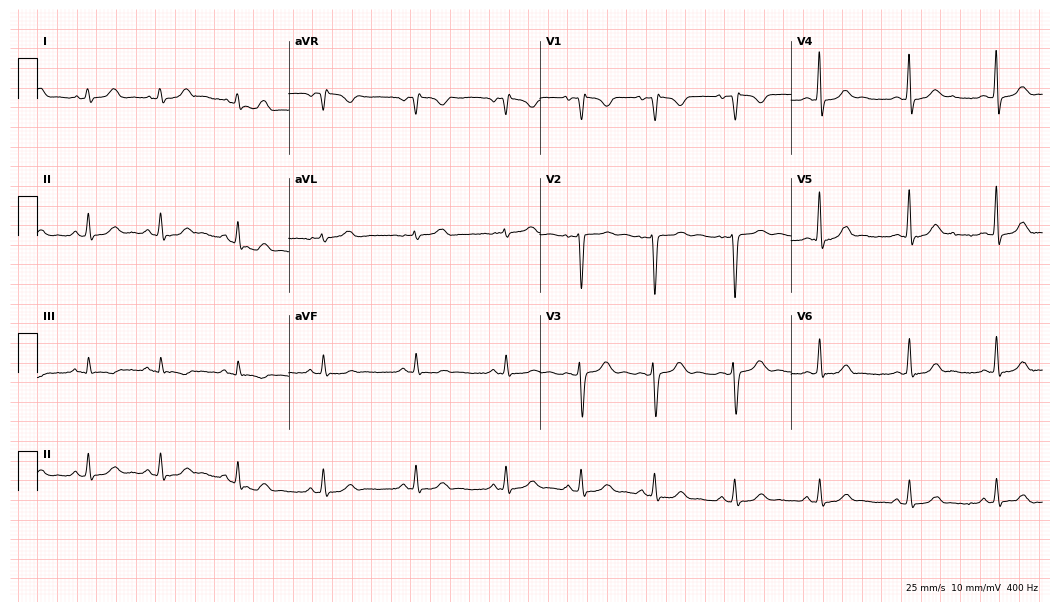
12-lead ECG from a 28-year-old female patient. No first-degree AV block, right bundle branch block (RBBB), left bundle branch block (LBBB), sinus bradycardia, atrial fibrillation (AF) or sinus tachycardia recorded for this tracing. Other findings, if any, are not listed.